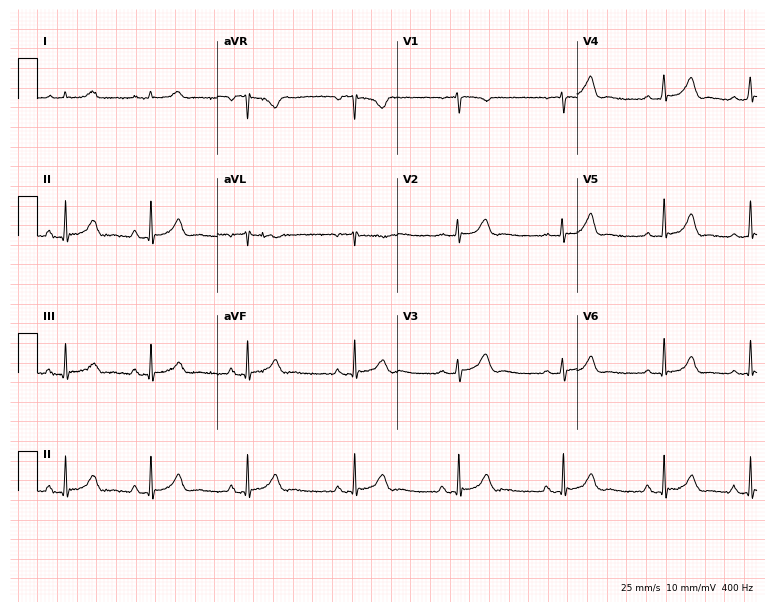
12-lead ECG from a female patient, 19 years old. Labelled as a normal ECG.